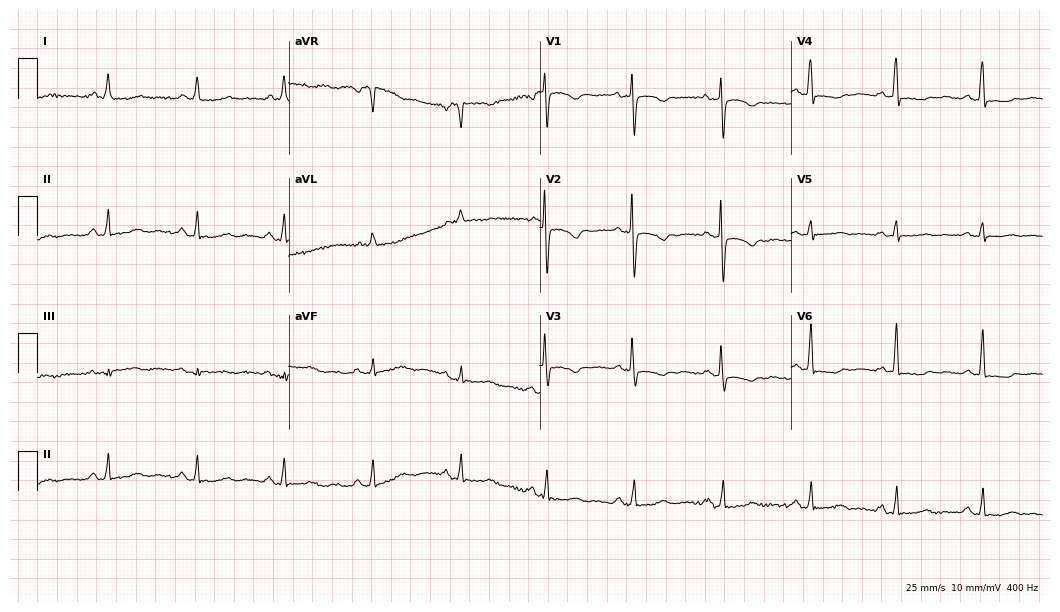
Electrocardiogram (10.2-second recording at 400 Hz), a female, 73 years old. Of the six screened findings (first-degree AV block, right bundle branch block, left bundle branch block, sinus bradycardia, atrial fibrillation, sinus tachycardia), none is recorded. Other findings, if any, are not listed.